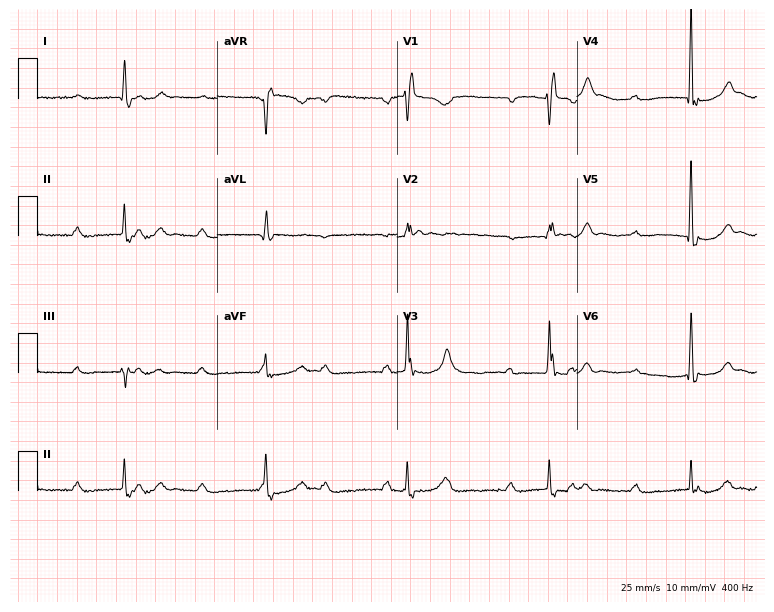
Standard 12-lead ECG recorded from a 65-year-old male patient (7.3-second recording at 400 Hz). None of these six findings is recorded: first-degree AV block, right bundle branch block, left bundle branch block, sinus bradycardia, atrial fibrillation, sinus tachycardia.